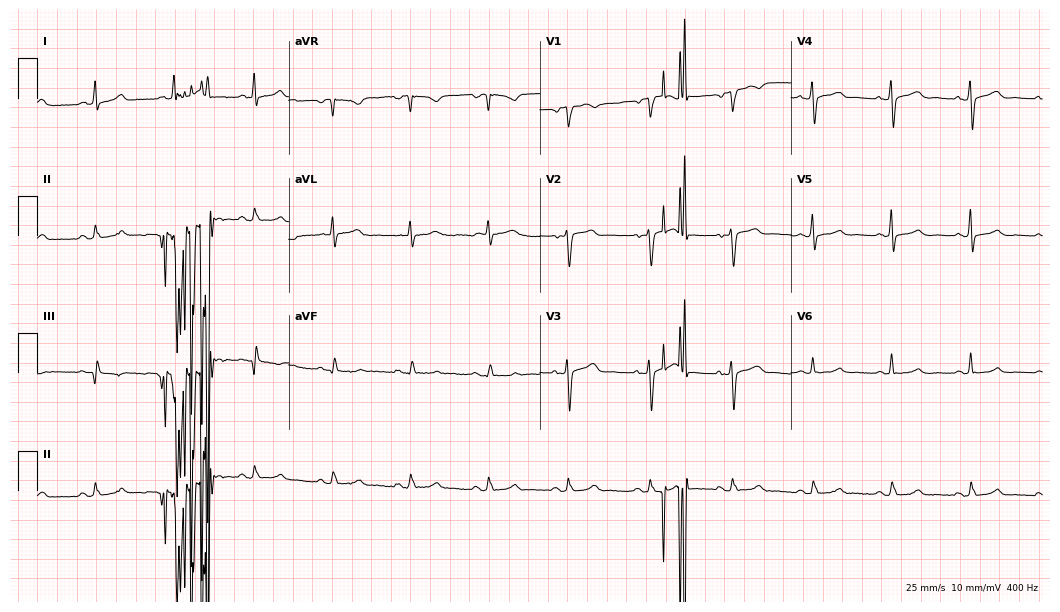
12-lead ECG from a 47-year-old male patient. Screened for six findings — first-degree AV block, right bundle branch block, left bundle branch block, sinus bradycardia, atrial fibrillation, sinus tachycardia — none is recorded. Other findings, if any, are not listed.